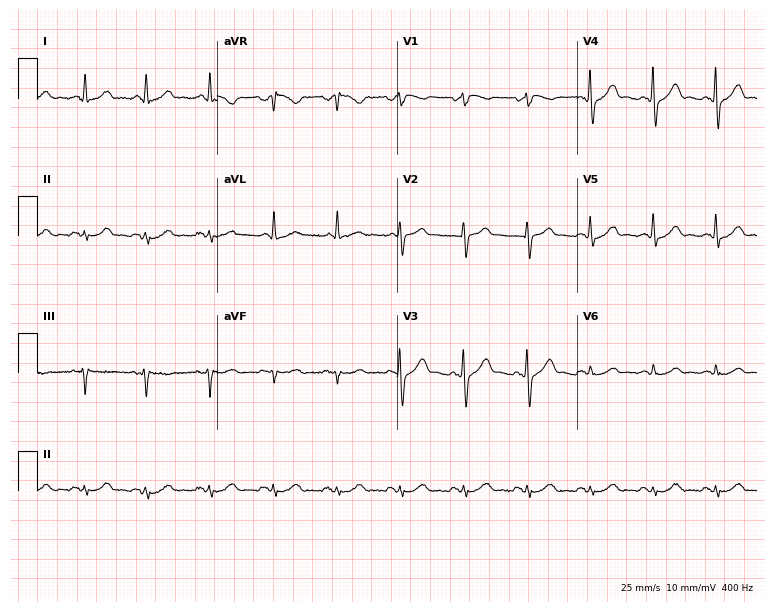
Electrocardiogram (7.3-second recording at 400 Hz), a female patient, 49 years old. Overall reading on record: normal ECG.